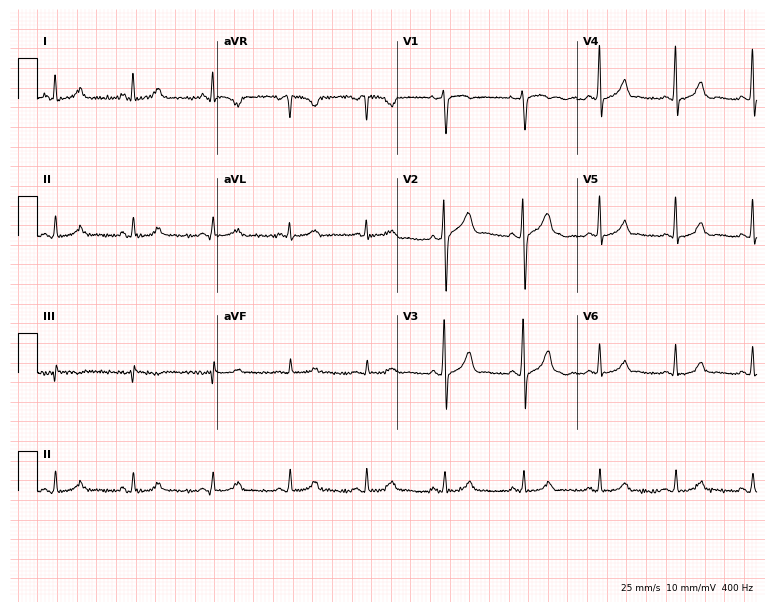
Standard 12-lead ECG recorded from a 39-year-old female (7.3-second recording at 400 Hz). Read as a normal ECG.